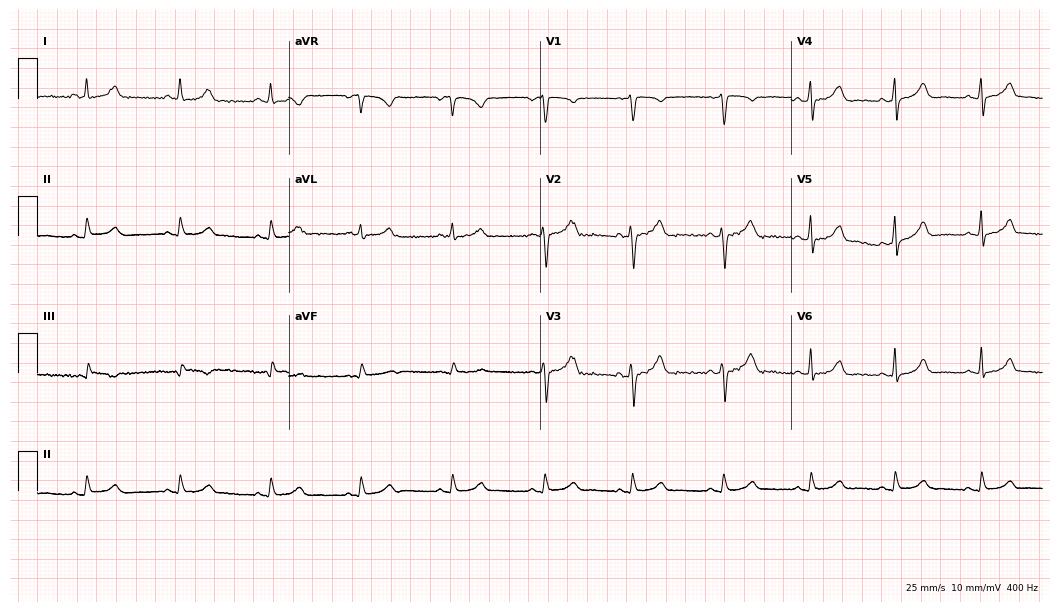
Standard 12-lead ECG recorded from a female, 41 years old. Read as a normal ECG.